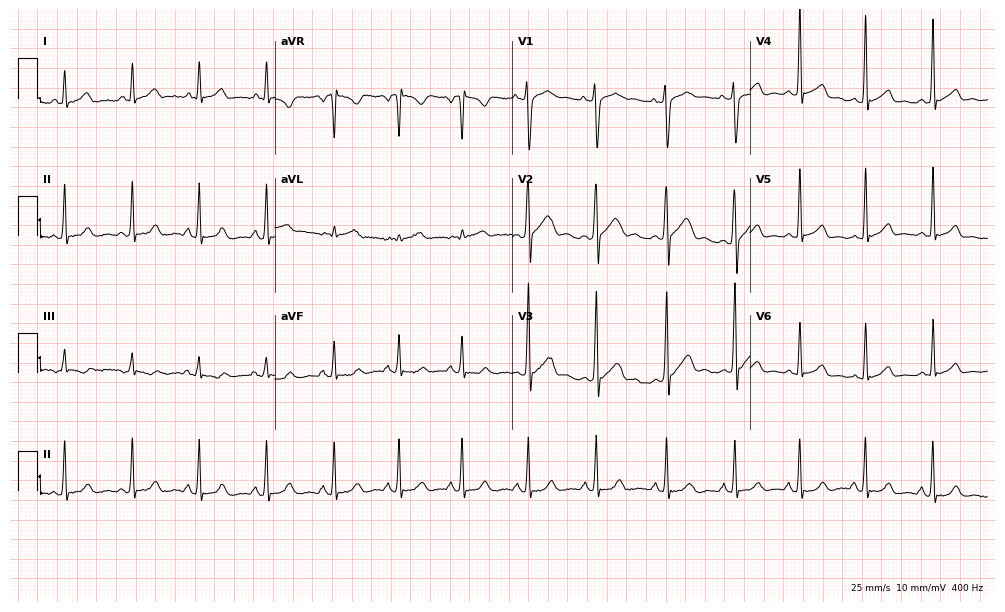
Electrocardiogram, a male, 23 years old. Overall reading on record: normal ECG.